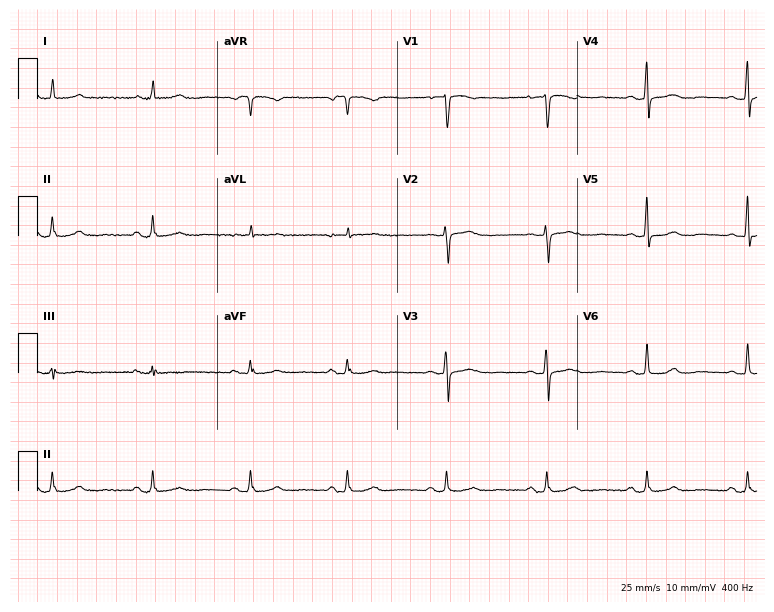
Resting 12-lead electrocardiogram (7.3-second recording at 400 Hz). Patient: a female, 47 years old. Read as a normal ECG.